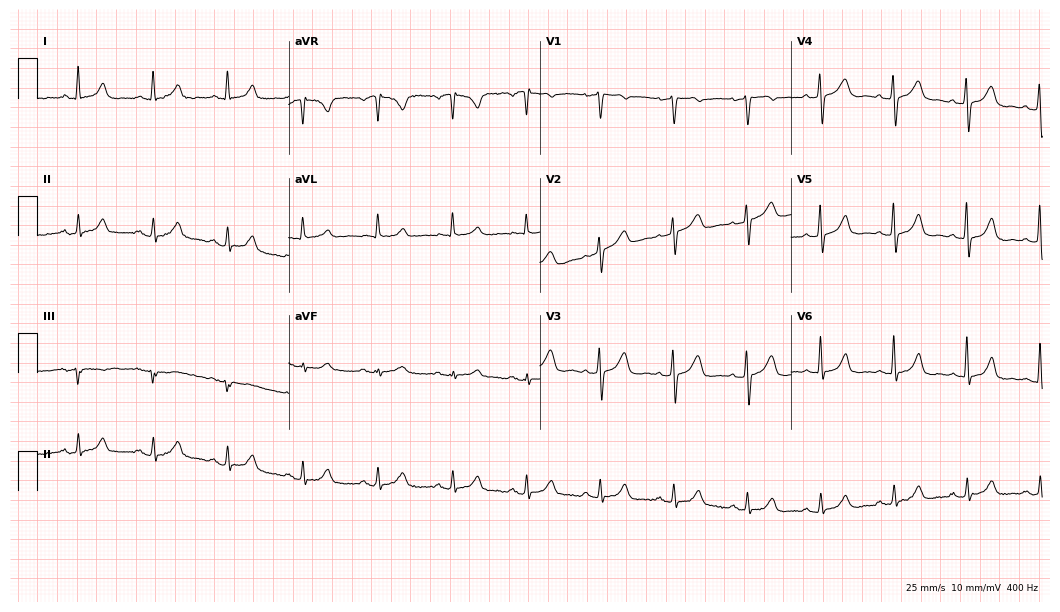
Electrocardiogram (10.2-second recording at 400 Hz), a woman, 51 years old. Overall reading on record: normal ECG.